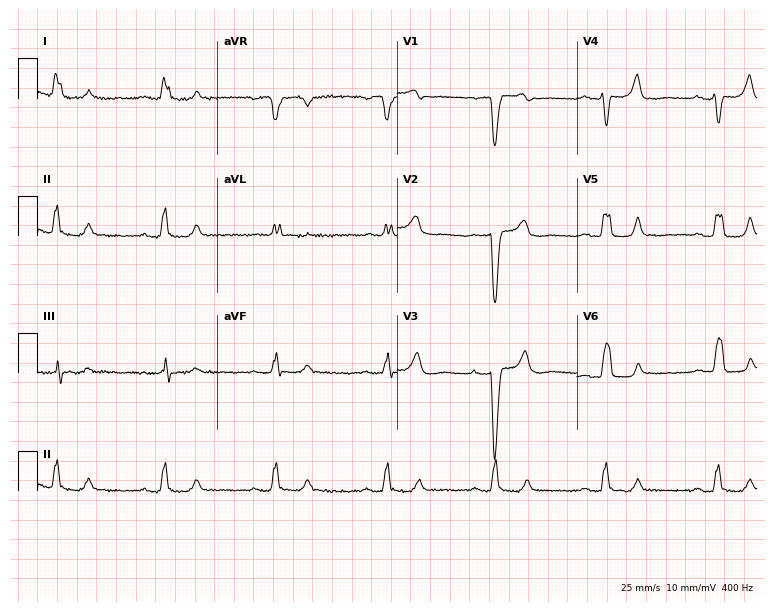
Electrocardiogram, a 75-year-old female patient. Interpretation includes left bundle branch block.